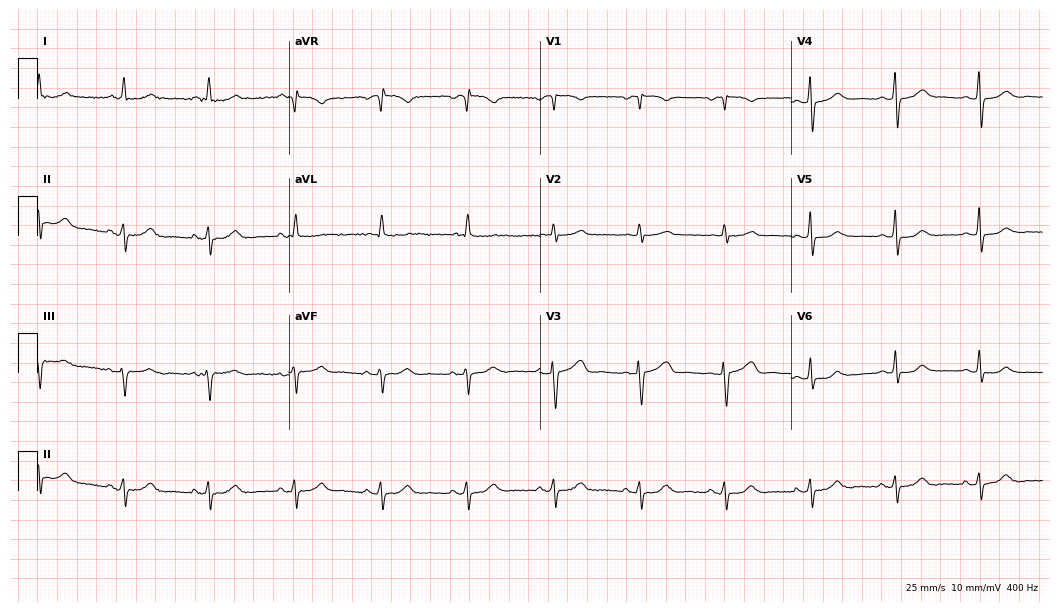
12-lead ECG from a 74-year-old female. Screened for six findings — first-degree AV block, right bundle branch block, left bundle branch block, sinus bradycardia, atrial fibrillation, sinus tachycardia — none is recorded. Only these six findings were labelled.